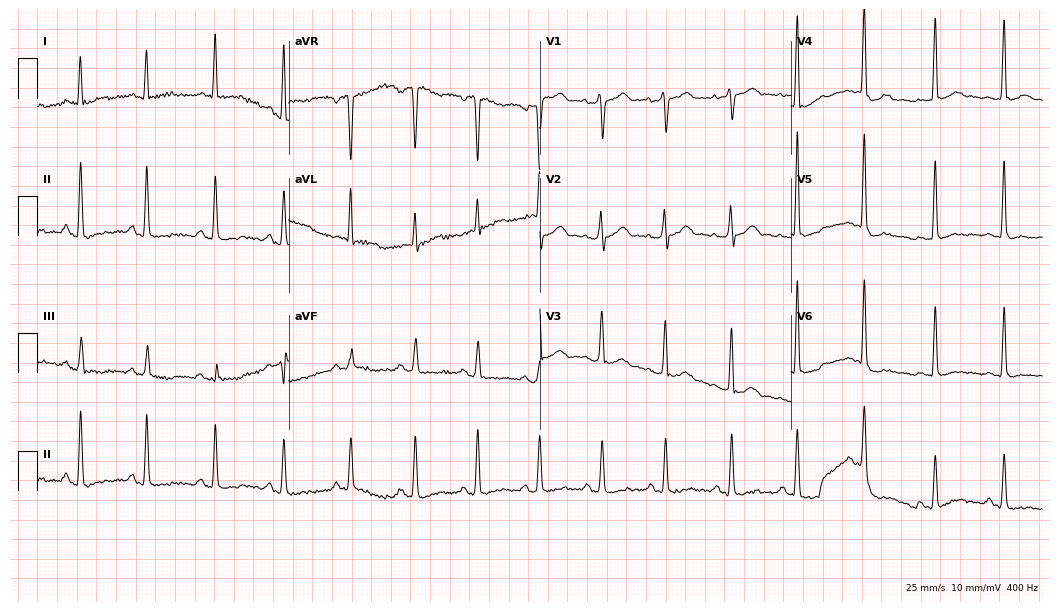
Electrocardiogram (10.2-second recording at 400 Hz), a 36-year-old man. Of the six screened findings (first-degree AV block, right bundle branch block, left bundle branch block, sinus bradycardia, atrial fibrillation, sinus tachycardia), none is recorded. Findings outside these six are not listed.